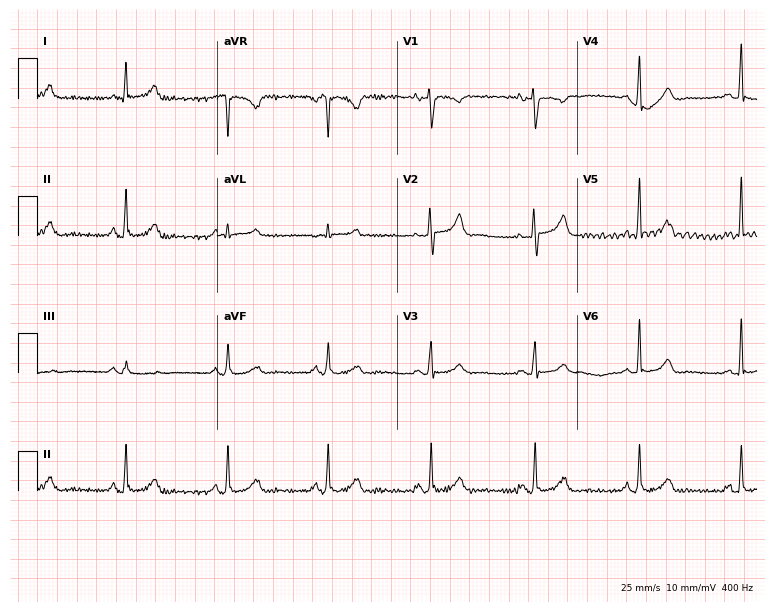
Standard 12-lead ECG recorded from a female patient, 54 years old. Read as a normal ECG.